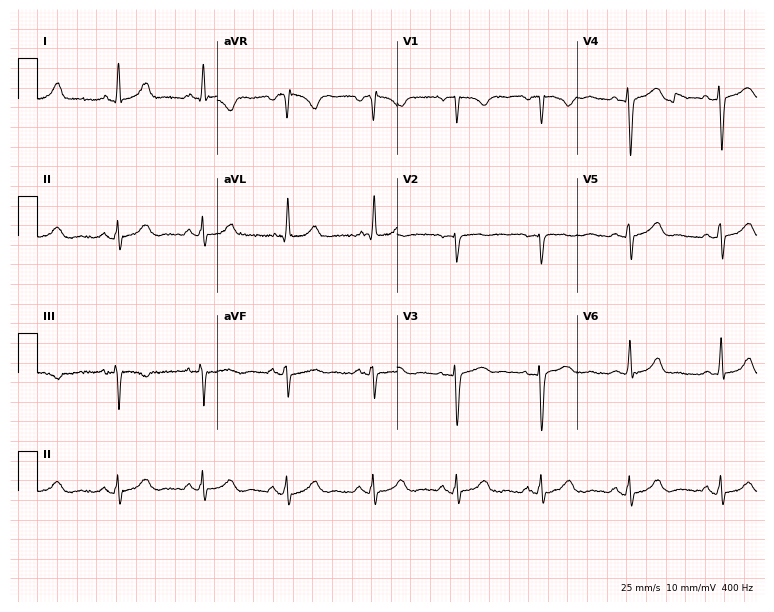
12-lead ECG (7.3-second recording at 400 Hz) from a woman, 48 years old. Screened for six findings — first-degree AV block, right bundle branch block (RBBB), left bundle branch block (LBBB), sinus bradycardia, atrial fibrillation (AF), sinus tachycardia — none is recorded.